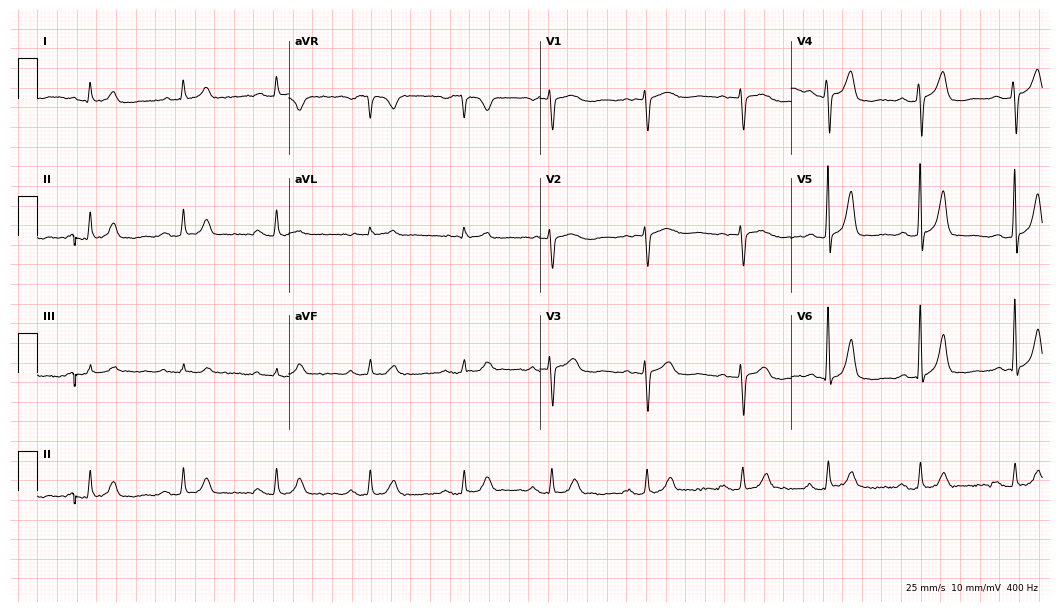
12-lead ECG (10.2-second recording at 400 Hz) from an 83-year-old female patient. Labelled as a normal ECG.